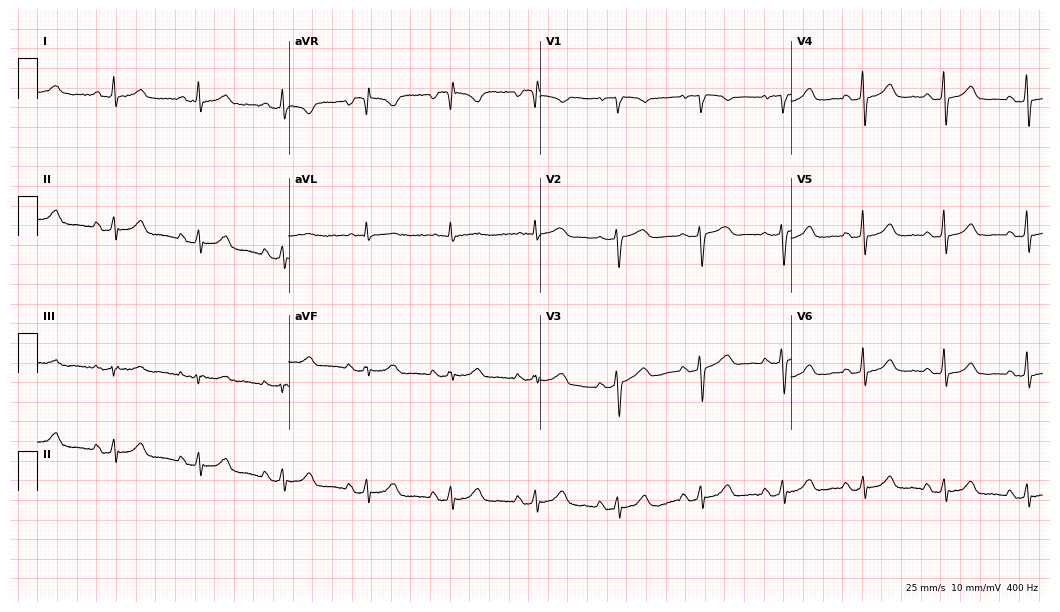
Electrocardiogram (10.2-second recording at 400 Hz), a female, 59 years old. Overall reading on record: normal ECG.